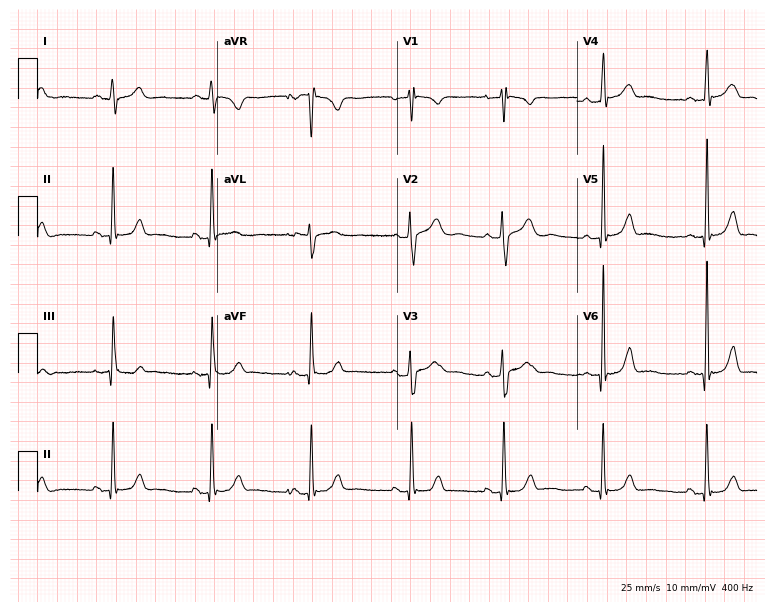
12-lead ECG from a 24-year-old female. No first-degree AV block, right bundle branch block (RBBB), left bundle branch block (LBBB), sinus bradycardia, atrial fibrillation (AF) or sinus tachycardia recorded for this tracing.